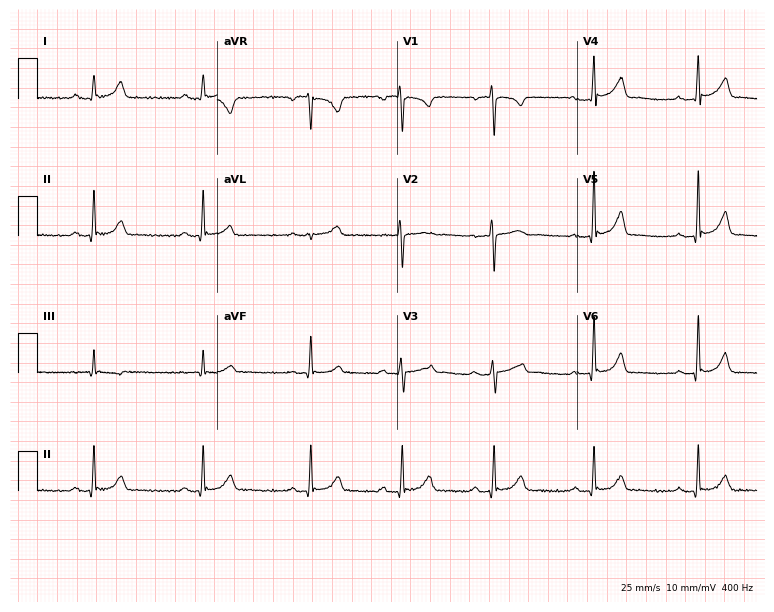
Electrocardiogram, a 29-year-old female patient. Of the six screened findings (first-degree AV block, right bundle branch block, left bundle branch block, sinus bradycardia, atrial fibrillation, sinus tachycardia), none is recorded.